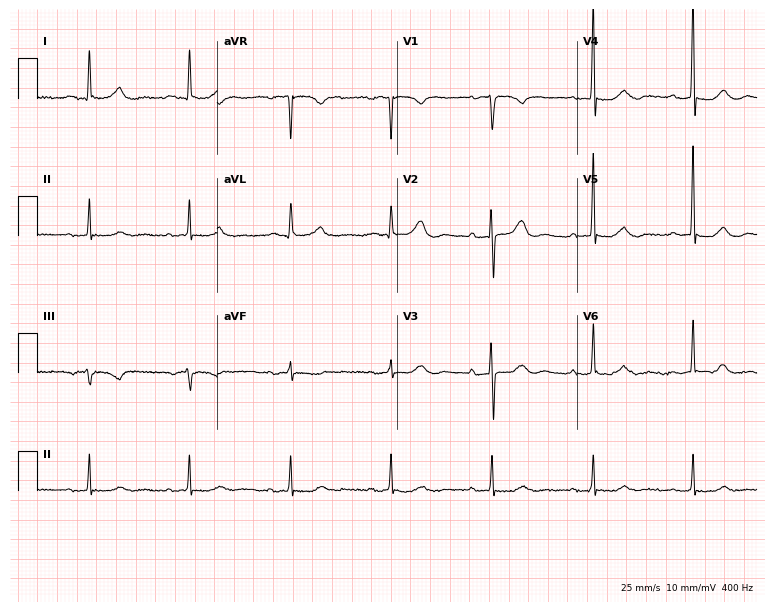
Resting 12-lead electrocardiogram (7.3-second recording at 400 Hz). Patient: a male, 82 years old. None of these six findings is recorded: first-degree AV block, right bundle branch block, left bundle branch block, sinus bradycardia, atrial fibrillation, sinus tachycardia. Other findings, if any, are not listed.